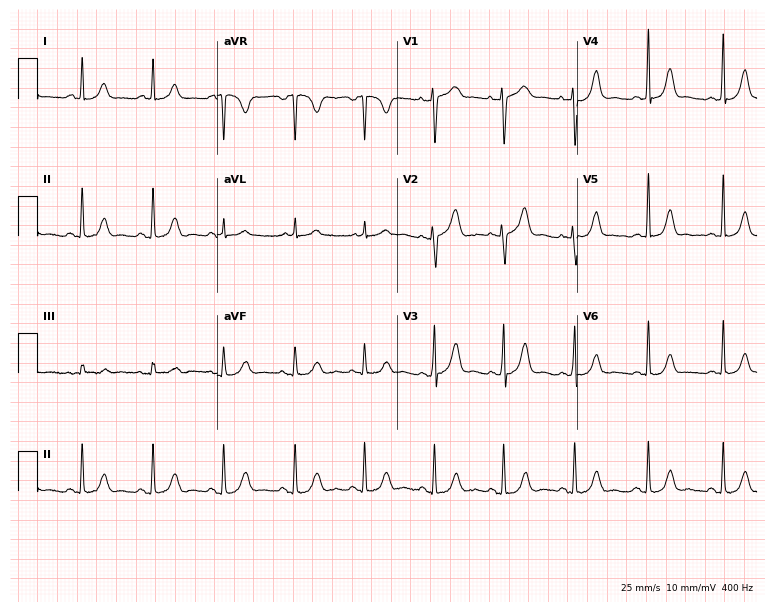
Resting 12-lead electrocardiogram. Patient: a 41-year-old female. Read as a normal ECG.